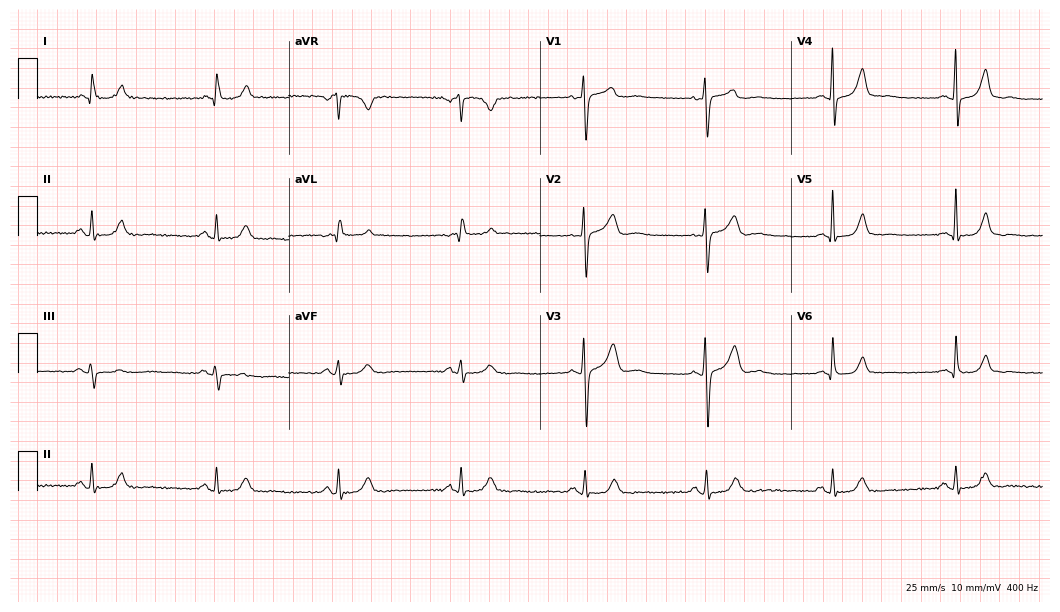
Resting 12-lead electrocardiogram. Patient: a 53-year-old female. None of these six findings is recorded: first-degree AV block, right bundle branch block, left bundle branch block, sinus bradycardia, atrial fibrillation, sinus tachycardia.